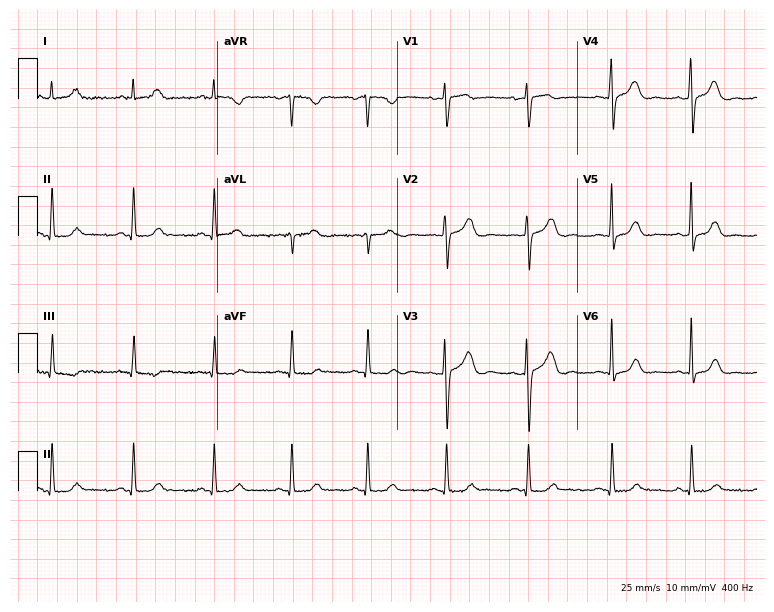
Standard 12-lead ECG recorded from a female, 46 years old. None of these six findings is recorded: first-degree AV block, right bundle branch block, left bundle branch block, sinus bradycardia, atrial fibrillation, sinus tachycardia. Only these six findings were labelled.